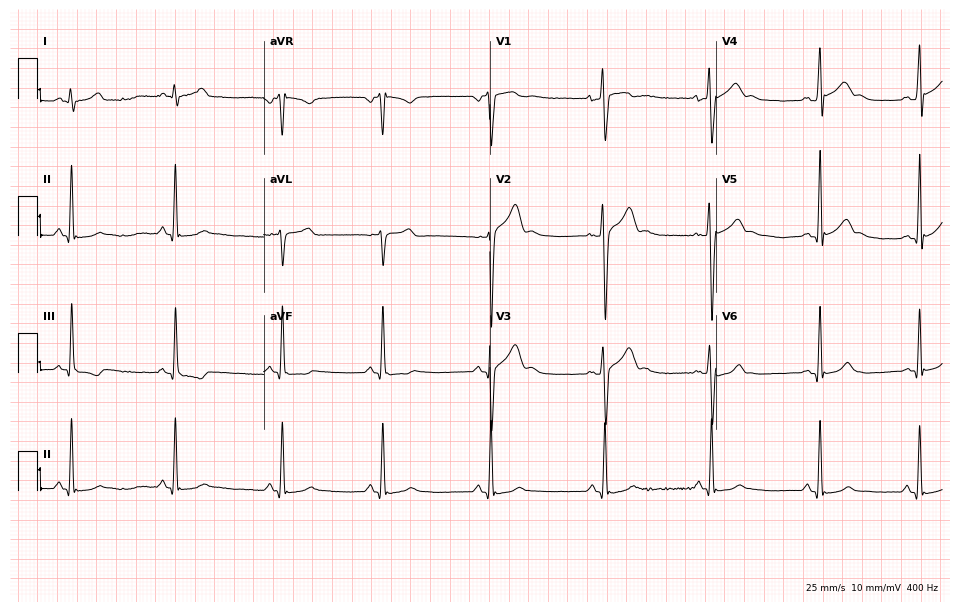
Resting 12-lead electrocardiogram. Patient: a male, 17 years old. Read as a normal ECG.